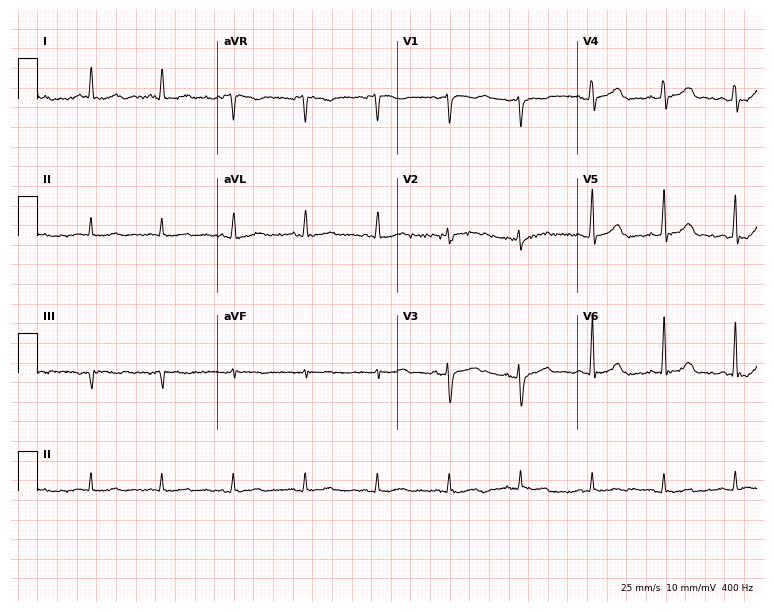
12-lead ECG from a female patient, 59 years old. Recorded interpretation: within normal limits.